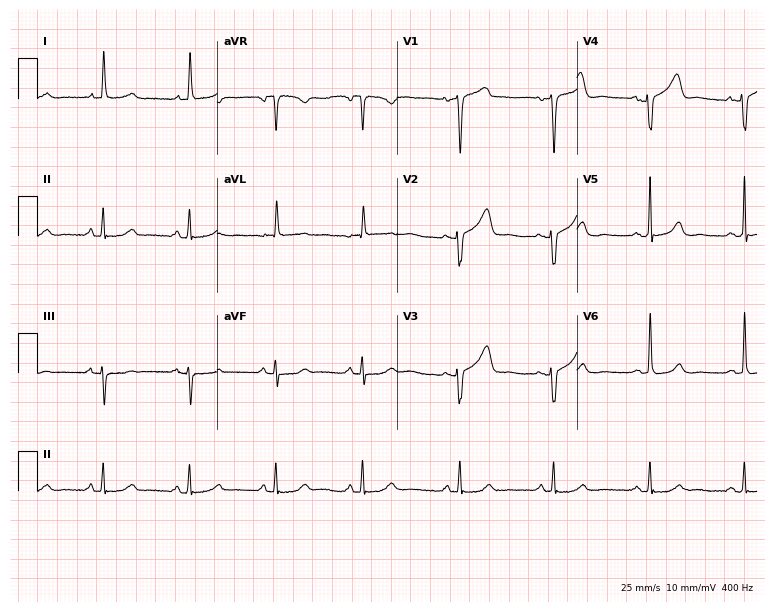
Electrocardiogram, a 69-year-old female. Of the six screened findings (first-degree AV block, right bundle branch block (RBBB), left bundle branch block (LBBB), sinus bradycardia, atrial fibrillation (AF), sinus tachycardia), none is recorded. Other findings, if any, are not listed.